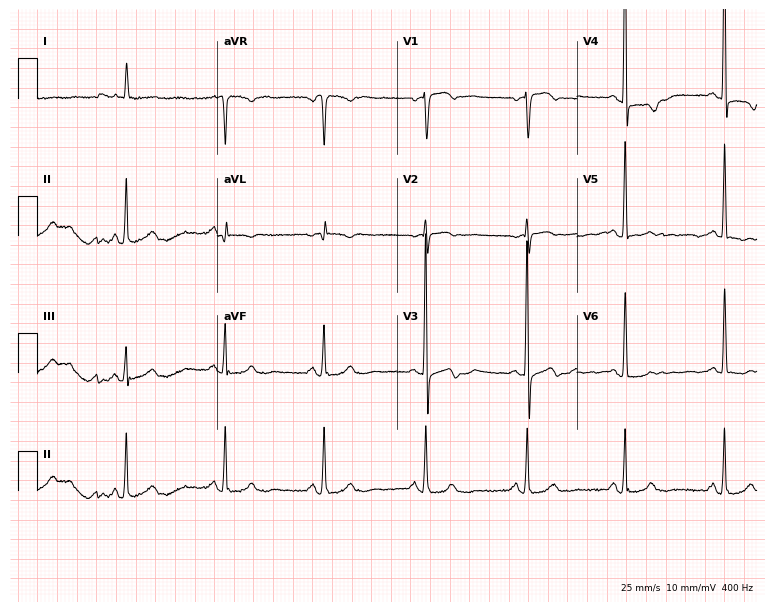
Electrocardiogram, an 81-year-old female. Of the six screened findings (first-degree AV block, right bundle branch block (RBBB), left bundle branch block (LBBB), sinus bradycardia, atrial fibrillation (AF), sinus tachycardia), none is recorded. Other findings, if any, are not listed.